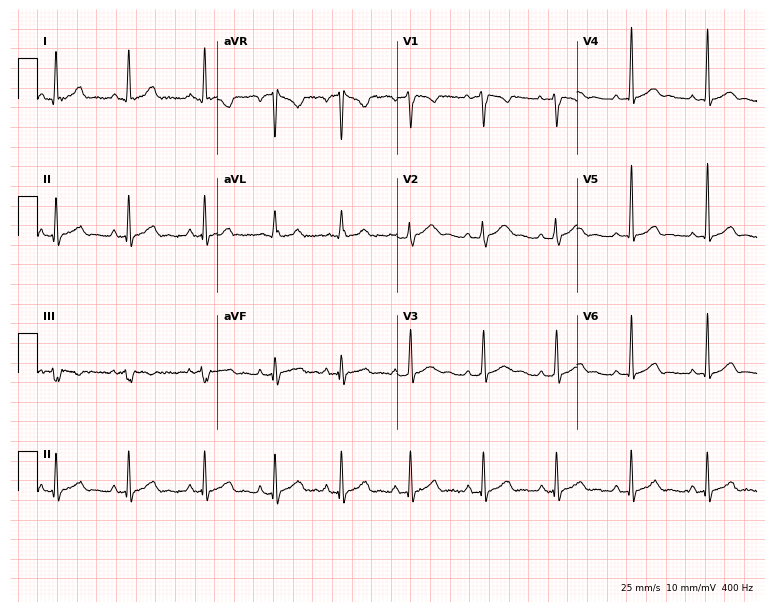
ECG — a woman, 24 years old. Labelled as a normal ECG.